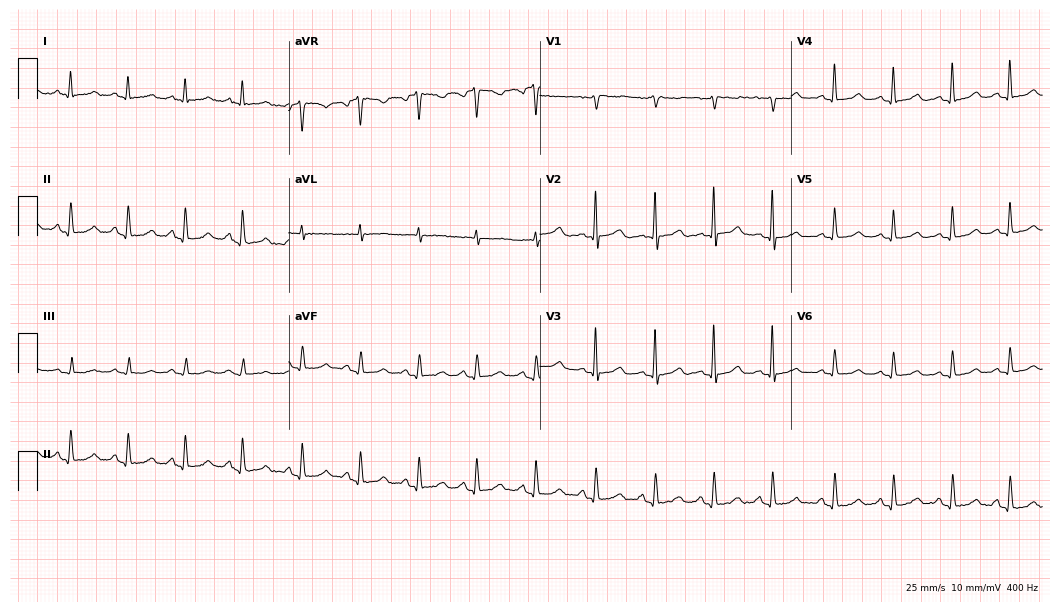
12-lead ECG from a 64-year-old female (10.2-second recording at 400 Hz). Recorded interpretation: within normal limits.